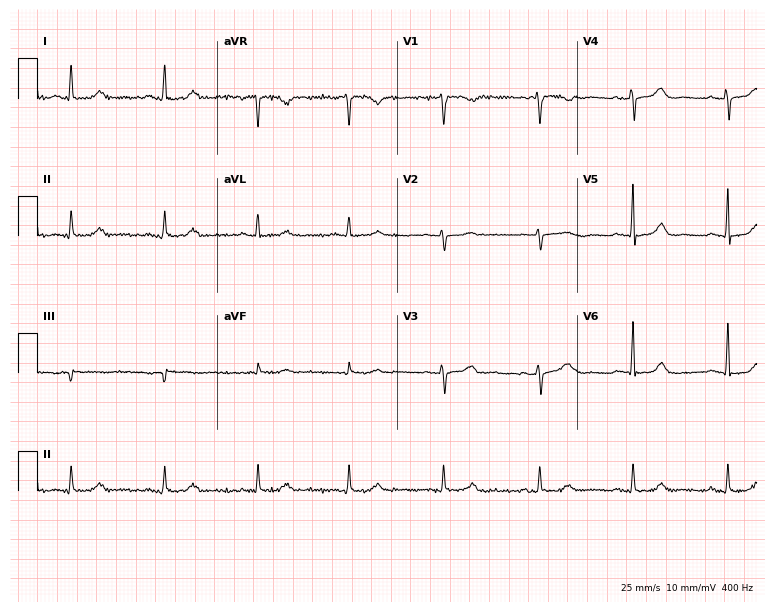
12-lead ECG from a woman, 59 years old (7.3-second recording at 400 Hz). No first-degree AV block, right bundle branch block, left bundle branch block, sinus bradycardia, atrial fibrillation or sinus tachycardia recorded for this tracing. Findings outside these six are not listed.